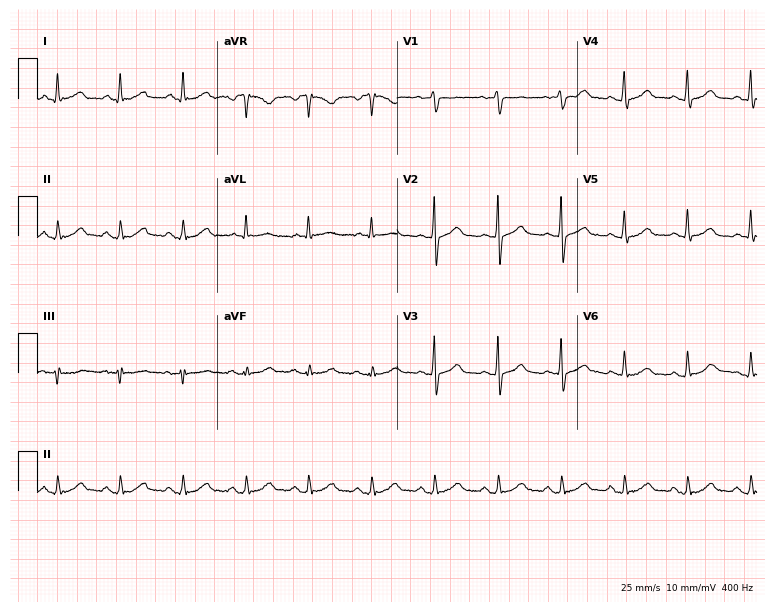
12-lead ECG (7.3-second recording at 400 Hz) from a male patient, 49 years old. Labelled as a normal ECG.